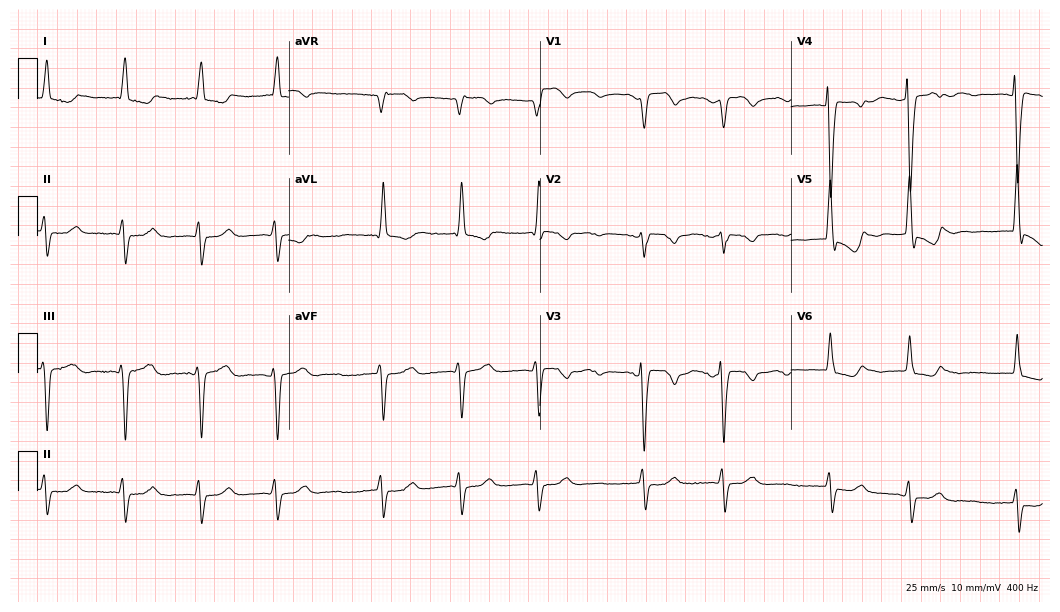
12-lead ECG (10.2-second recording at 400 Hz) from a female, 67 years old. Findings include atrial fibrillation.